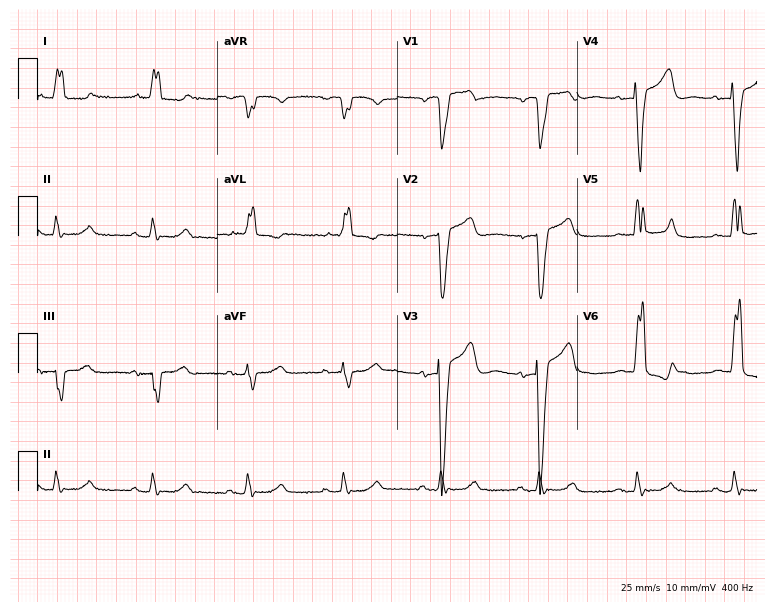
12-lead ECG (7.3-second recording at 400 Hz) from a female, 72 years old. Findings include left bundle branch block.